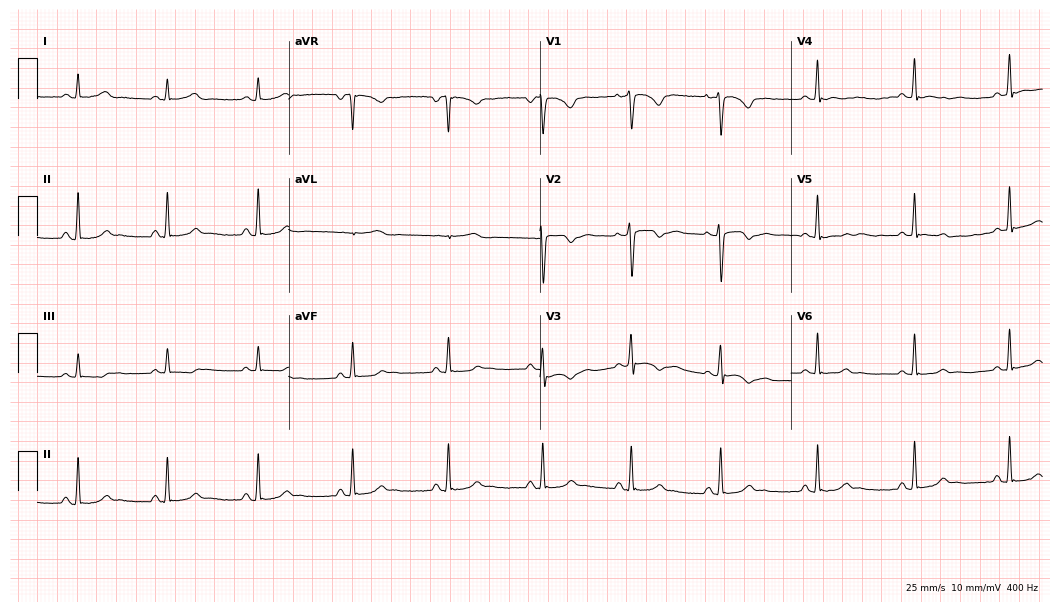
Resting 12-lead electrocardiogram. Patient: a 19-year-old female. None of these six findings is recorded: first-degree AV block, right bundle branch block (RBBB), left bundle branch block (LBBB), sinus bradycardia, atrial fibrillation (AF), sinus tachycardia.